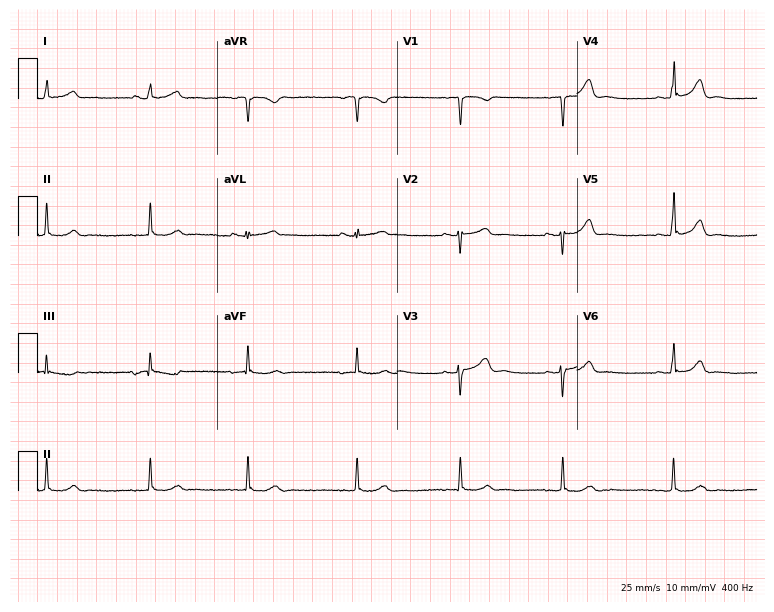
Resting 12-lead electrocardiogram. Patient: a woman, 17 years old. None of these six findings is recorded: first-degree AV block, right bundle branch block, left bundle branch block, sinus bradycardia, atrial fibrillation, sinus tachycardia. Findings outside these six are not listed.